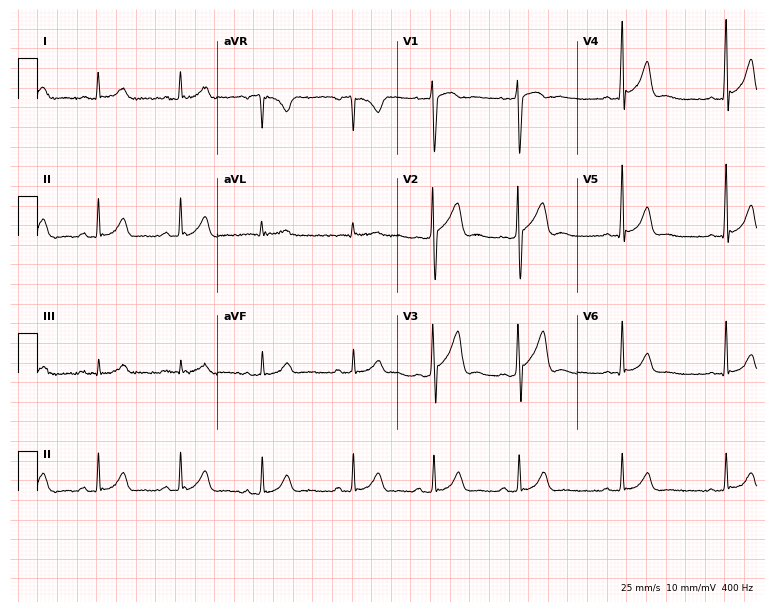
Resting 12-lead electrocardiogram. Patient: a 33-year-old male. Read as a normal ECG.